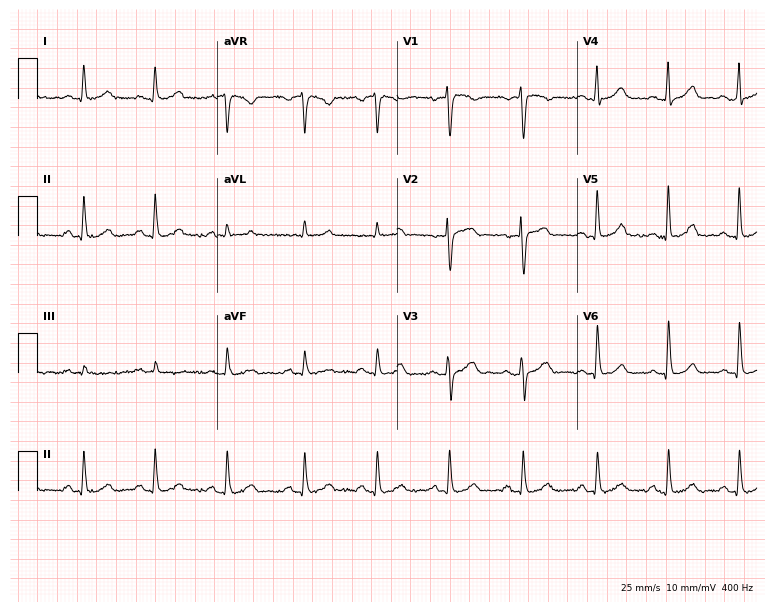
Resting 12-lead electrocardiogram. Patient: a female, 52 years old. Read as a normal ECG.